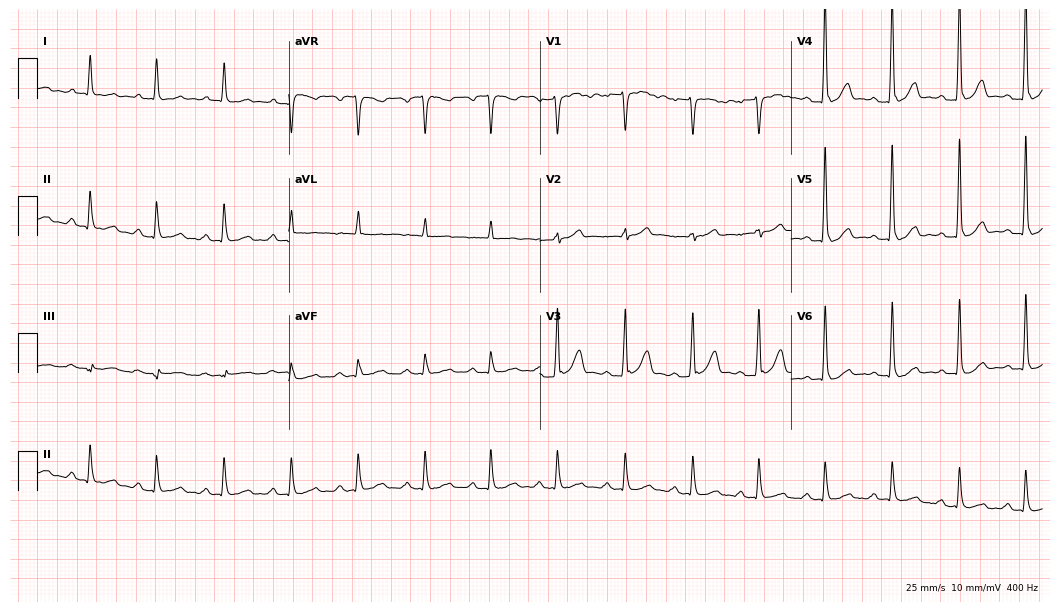
Resting 12-lead electrocardiogram. Patient: a male, 63 years old. Read as a normal ECG.